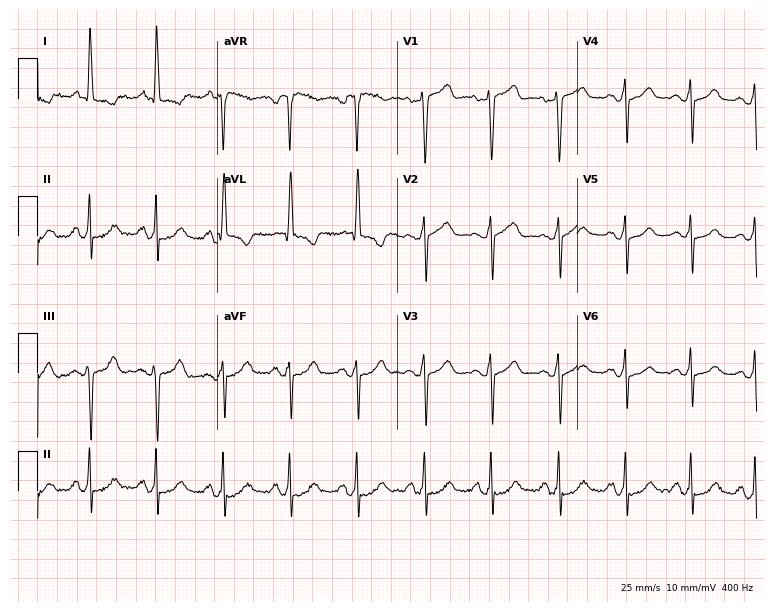
Resting 12-lead electrocardiogram (7.3-second recording at 400 Hz). Patient: a 64-year-old female. None of these six findings is recorded: first-degree AV block, right bundle branch block (RBBB), left bundle branch block (LBBB), sinus bradycardia, atrial fibrillation (AF), sinus tachycardia.